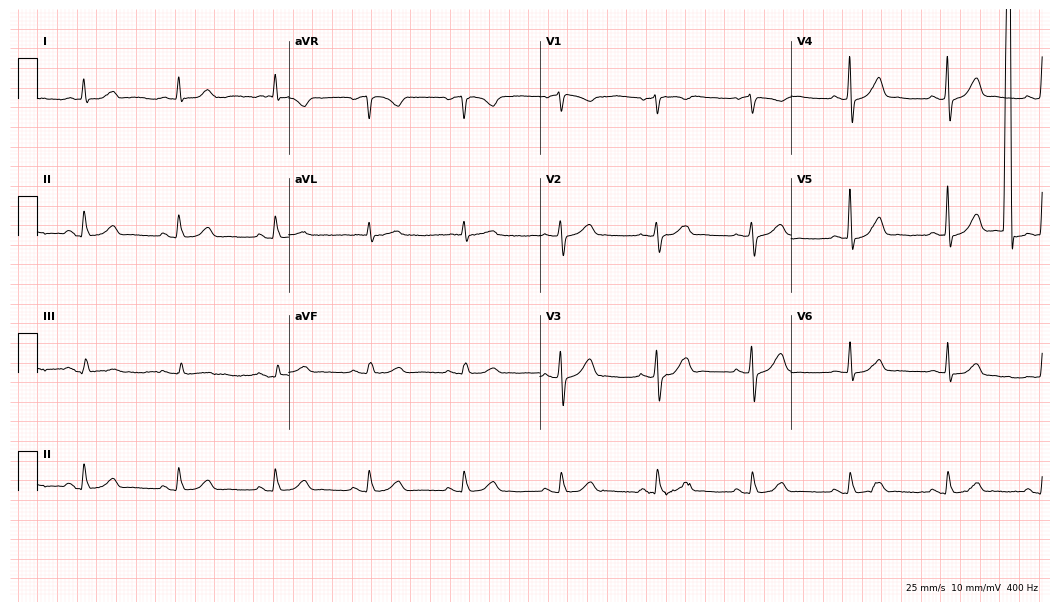
12-lead ECG from a male patient, 62 years old. Screened for six findings — first-degree AV block, right bundle branch block, left bundle branch block, sinus bradycardia, atrial fibrillation, sinus tachycardia — none is recorded. Other findings, if any, are not listed.